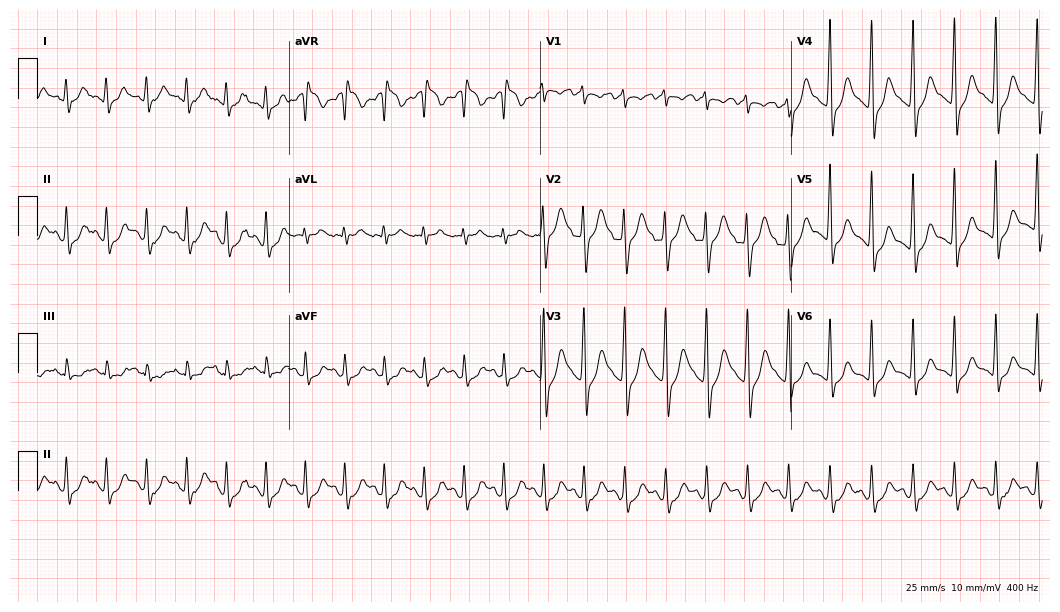
12-lead ECG (10.2-second recording at 400 Hz) from a 25-year-old man. Findings include sinus tachycardia (a sinus rate of 100 beats per minute or more).